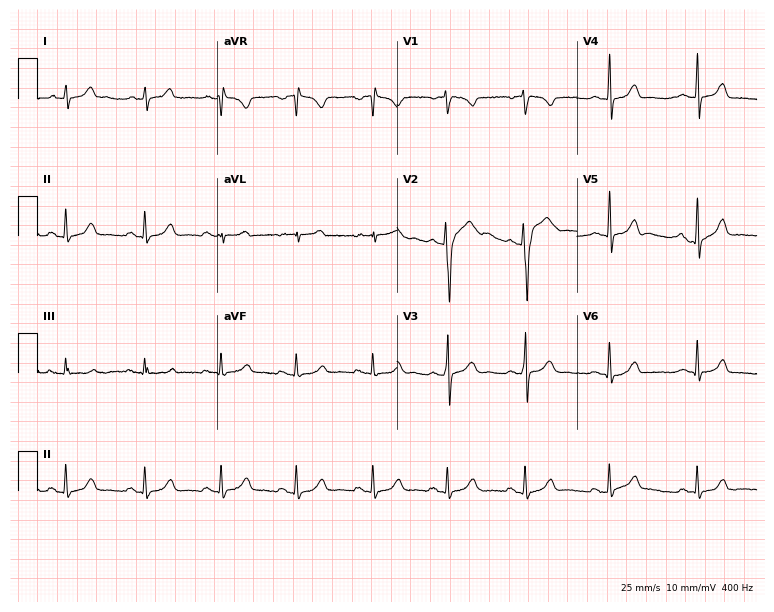
Resting 12-lead electrocardiogram. Patient: a woman, 25 years old. Read as a normal ECG.